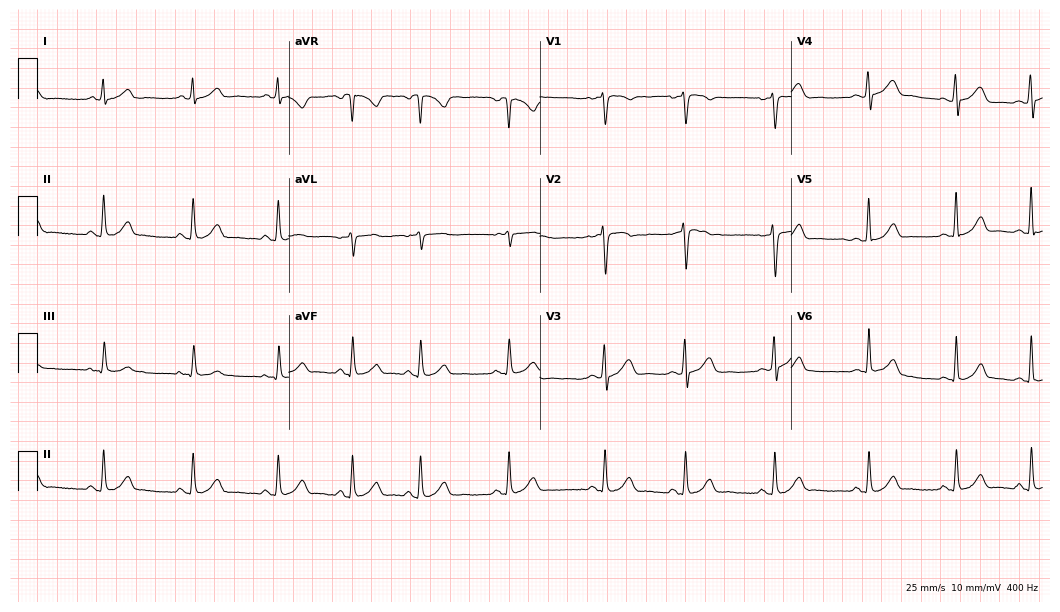
Electrocardiogram (10.2-second recording at 400 Hz), a 35-year-old woman. Overall reading on record: normal ECG.